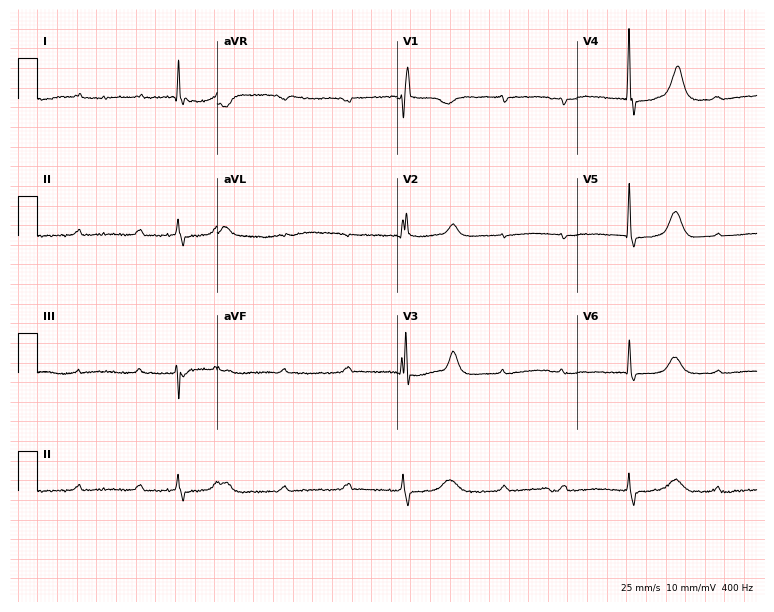
Electrocardiogram (7.3-second recording at 400 Hz), a man, 81 years old. Of the six screened findings (first-degree AV block, right bundle branch block (RBBB), left bundle branch block (LBBB), sinus bradycardia, atrial fibrillation (AF), sinus tachycardia), none is recorded. Findings outside these six are not listed.